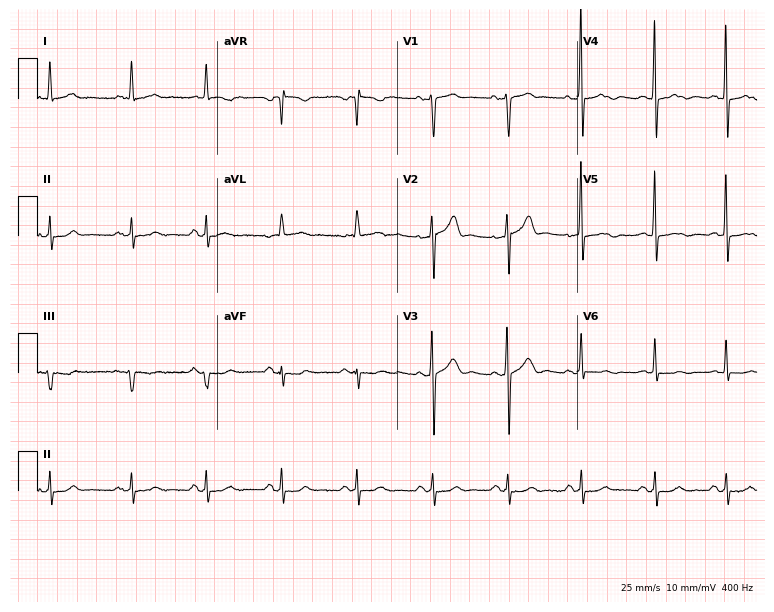
12-lead ECG from a 67-year-old male. No first-degree AV block, right bundle branch block (RBBB), left bundle branch block (LBBB), sinus bradycardia, atrial fibrillation (AF) or sinus tachycardia recorded for this tracing.